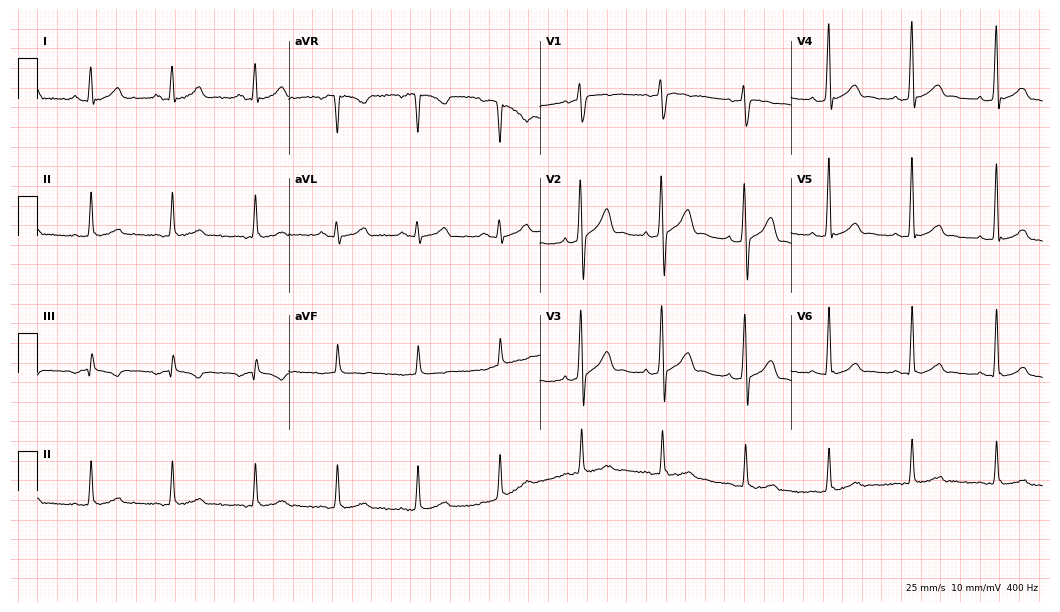
Standard 12-lead ECG recorded from a 29-year-old man. Read as a normal ECG.